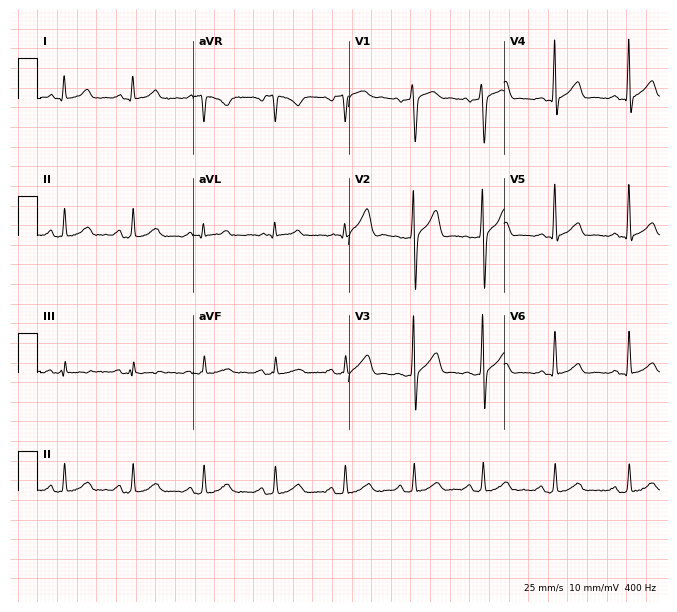
Resting 12-lead electrocardiogram (6.3-second recording at 400 Hz). Patient: a male, 23 years old. None of these six findings is recorded: first-degree AV block, right bundle branch block, left bundle branch block, sinus bradycardia, atrial fibrillation, sinus tachycardia. Other findings, if any, are not listed.